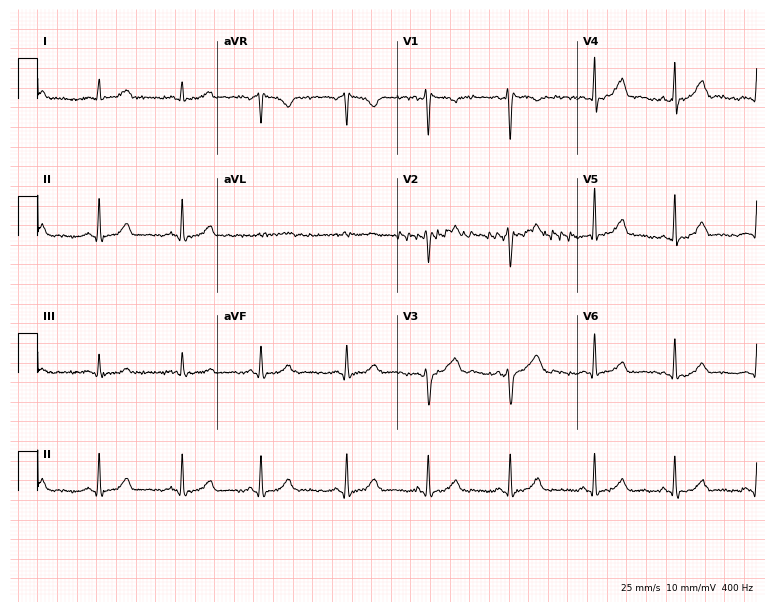
Resting 12-lead electrocardiogram (7.3-second recording at 400 Hz). Patient: a 36-year-old female. Read as a normal ECG.